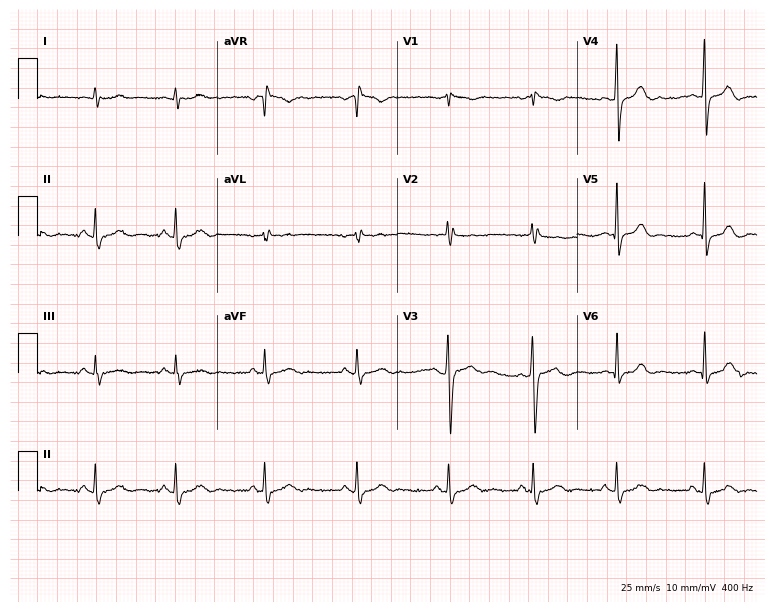
12-lead ECG from a 30-year-old man. Screened for six findings — first-degree AV block, right bundle branch block (RBBB), left bundle branch block (LBBB), sinus bradycardia, atrial fibrillation (AF), sinus tachycardia — none is recorded. Other findings, if any, are not listed.